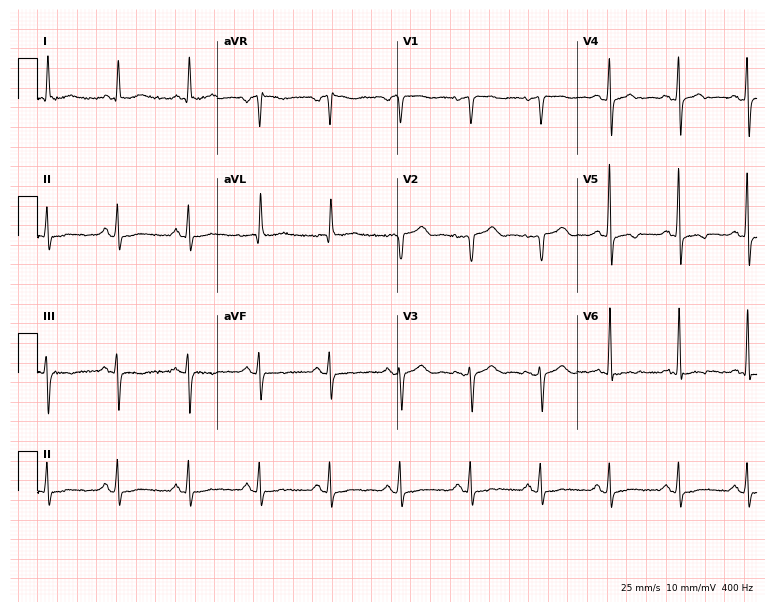
ECG — a female patient, 81 years old. Screened for six findings — first-degree AV block, right bundle branch block, left bundle branch block, sinus bradycardia, atrial fibrillation, sinus tachycardia — none is recorded. Findings outside these six are not listed.